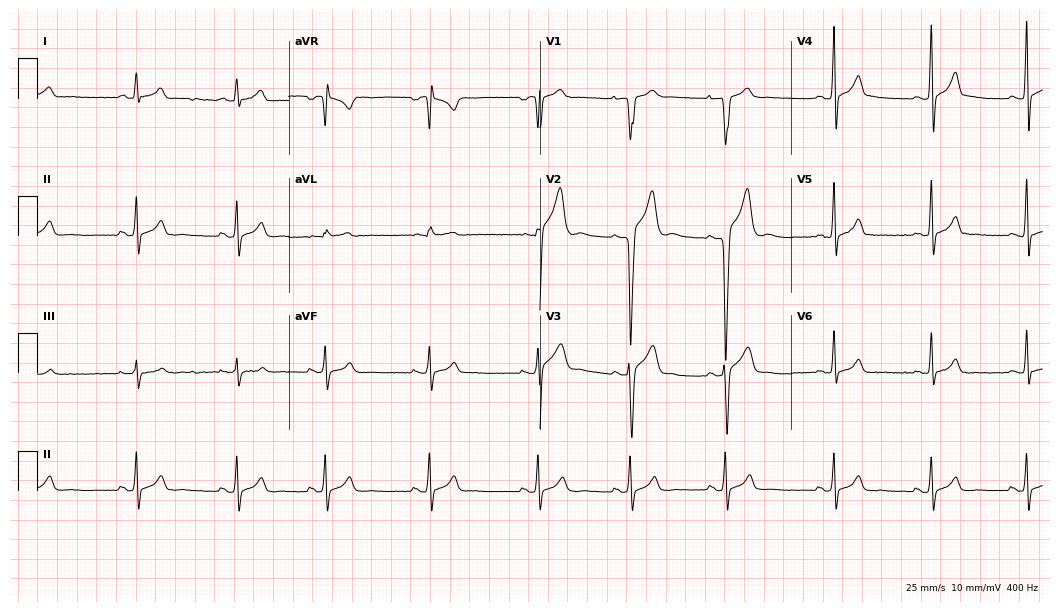
ECG (10.2-second recording at 400 Hz) — an 18-year-old man. Screened for six findings — first-degree AV block, right bundle branch block, left bundle branch block, sinus bradycardia, atrial fibrillation, sinus tachycardia — none is recorded. Other findings, if any, are not listed.